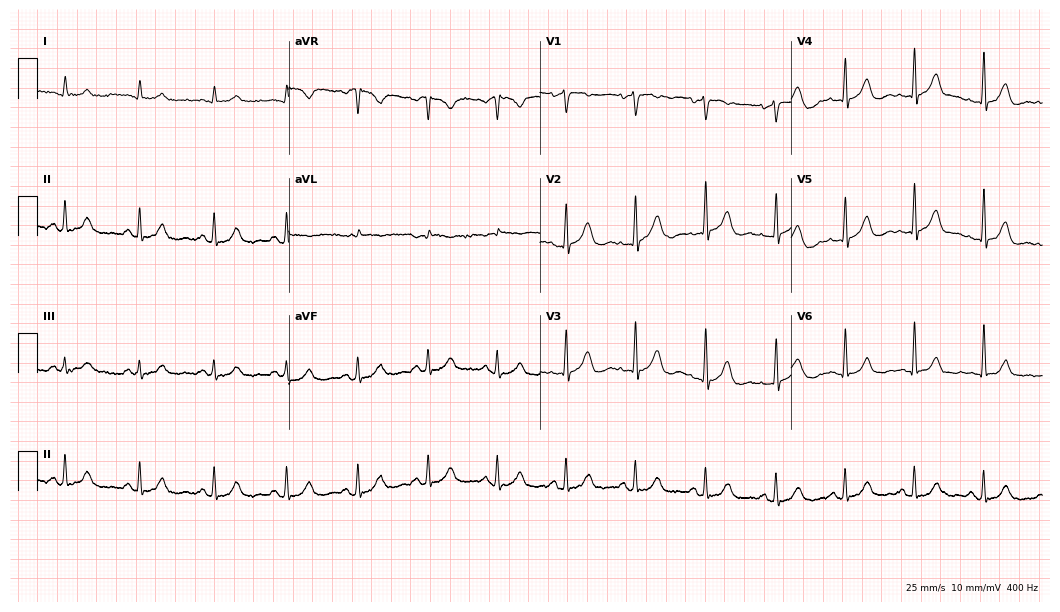
Standard 12-lead ECG recorded from a man, 67 years old (10.2-second recording at 400 Hz). Read as a normal ECG.